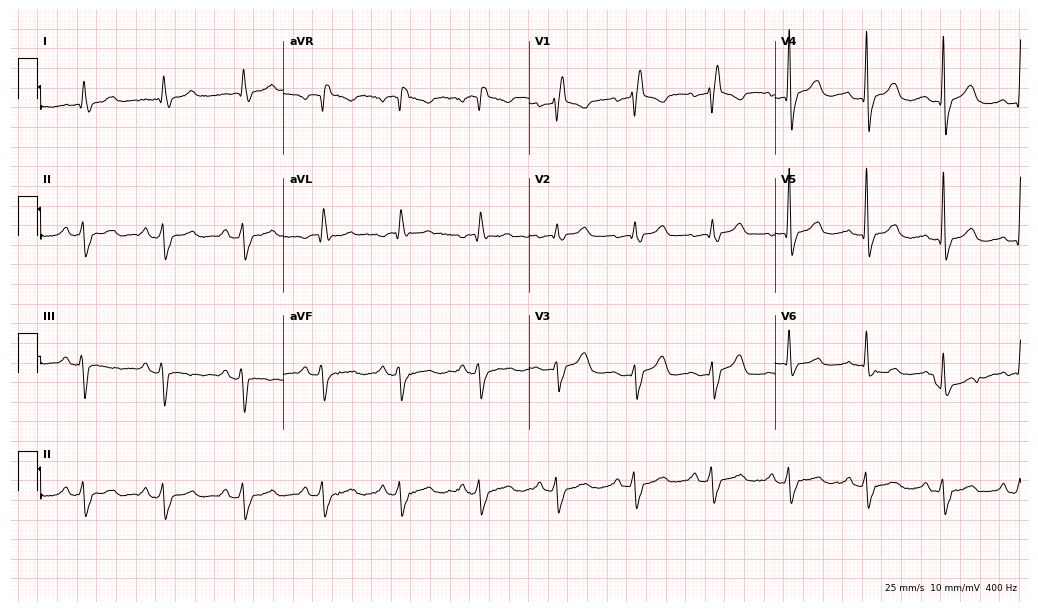
Resting 12-lead electrocardiogram (10-second recording at 400 Hz). Patient: a male, 65 years old. The tracing shows right bundle branch block.